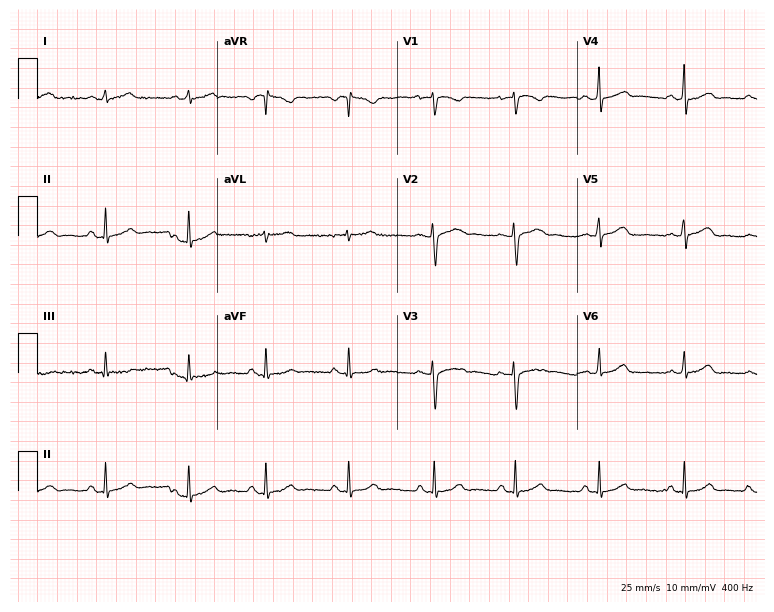
Resting 12-lead electrocardiogram (7.3-second recording at 400 Hz). Patient: a female, 24 years old. None of these six findings is recorded: first-degree AV block, right bundle branch block (RBBB), left bundle branch block (LBBB), sinus bradycardia, atrial fibrillation (AF), sinus tachycardia. Other findings, if any, are not listed.